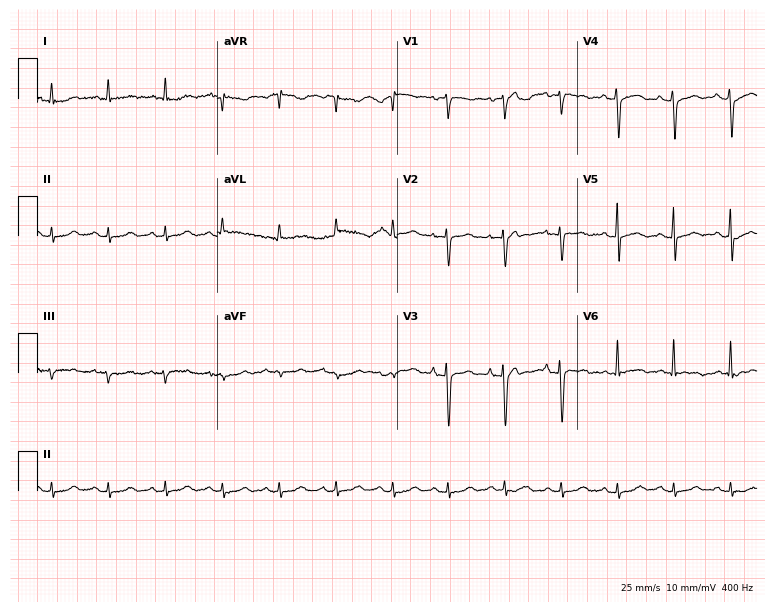
Electrocardiogram (7.3-second recording at 400 Hz), a 78-year-old female. Of the six screened findings (first-degree AV block, right bundle branch block (RBBB), left bundle branch block (LBBB), sinus bradycardia, atrial fibrillation (AF), sinus tachycardia), none is recorded.